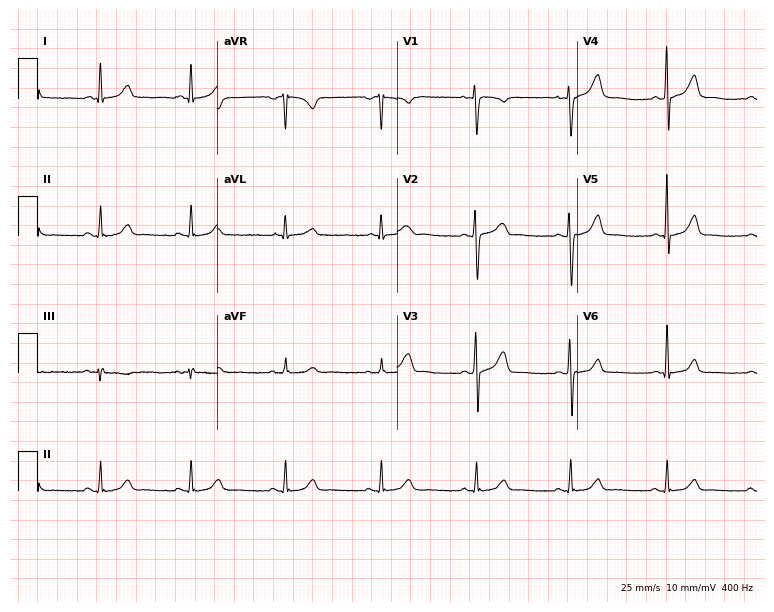
12-lead ECG from a 36-year-old woman. Labelled as a normal ECG.